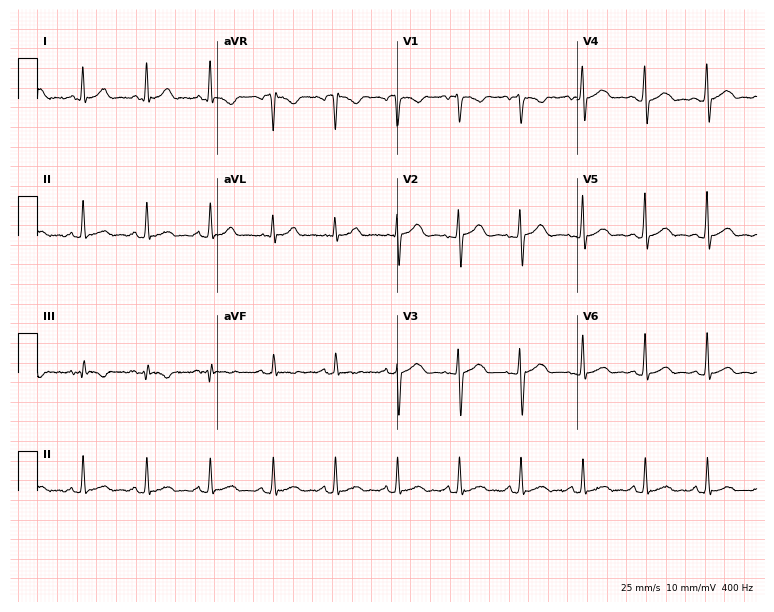
12-lead ECG from a 31-year-old female patient. Labelled as a normal ECG.